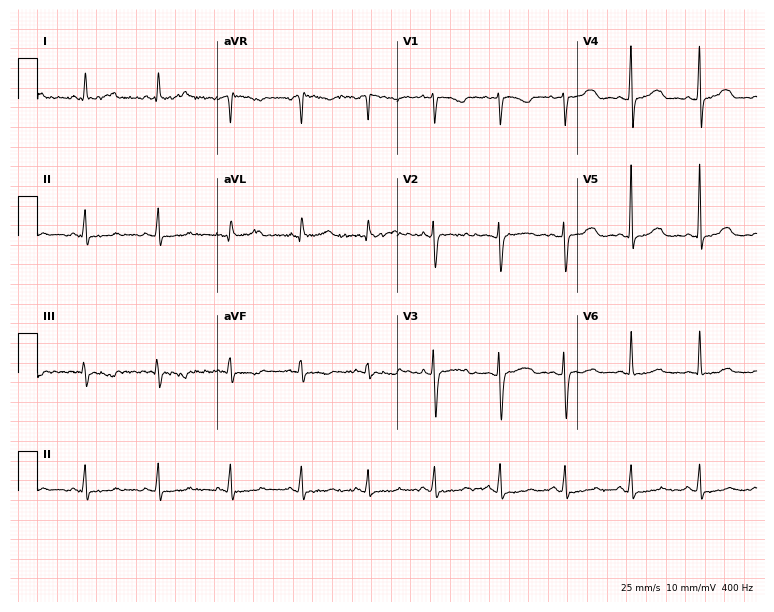
Electrocardiogram, a 39-year-old female. Of the six screened findings (first-degree AV block, right bundle branch block, left bundle branch block, sinus bradycardia, atrial fibrillation, sinus tachycardia), none is recorded.